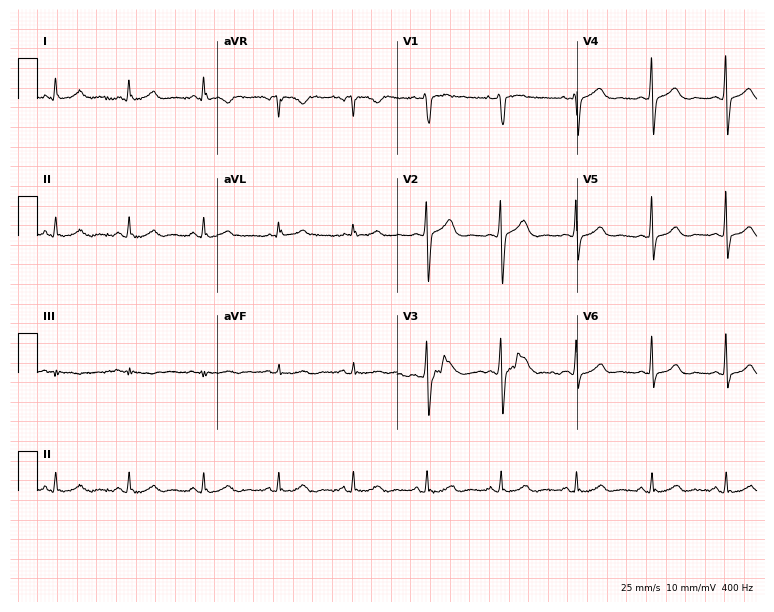
ECG (7.3-second recording at 400 Hz) — a woman, 38 years old. Screened for six findings — first-degree AV block, right bundle branch block, left bundle branch block, sinus bradycardia, atrial fibrillation, sinus tachycardia — none is recorded. Other findings, if any, are not listed.